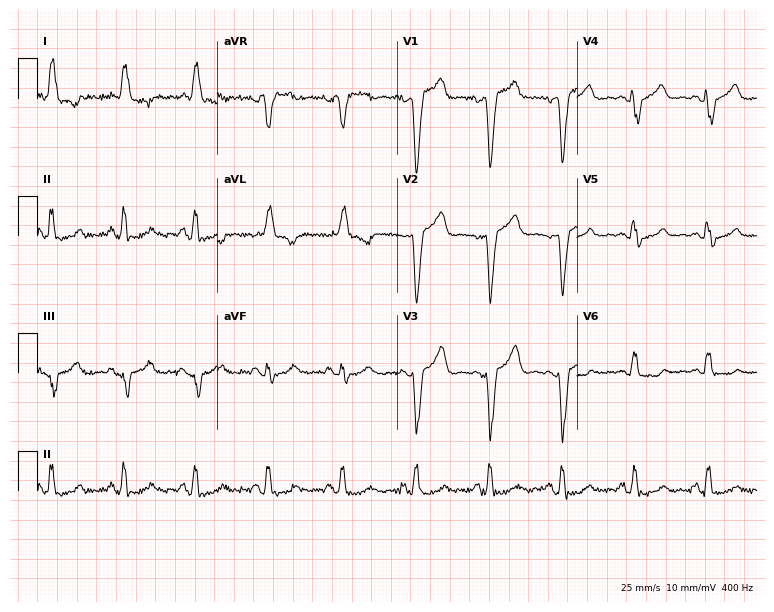
12-lead ECG from a female, 53 years old (7.3-second recording at 400 Hz). No first-degree AV block, right bundle branch block, left bundle branch block, sinus bradycardia, atrial fibrillation or sinus tachycardia recorded for this tracing. Only these six findings were labelled.